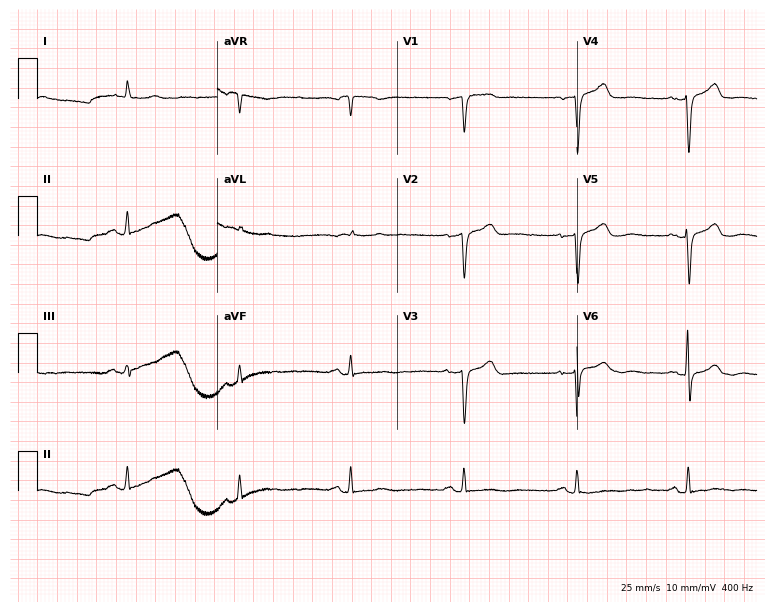
Electrocardiogram, a 73-year-old man. Of the six screened findings (first-degree AV block, right bundle branch block, left bundle branch block, sinus bradycardia, atrial fibrillation, sinus tachycardia), none is recorded.